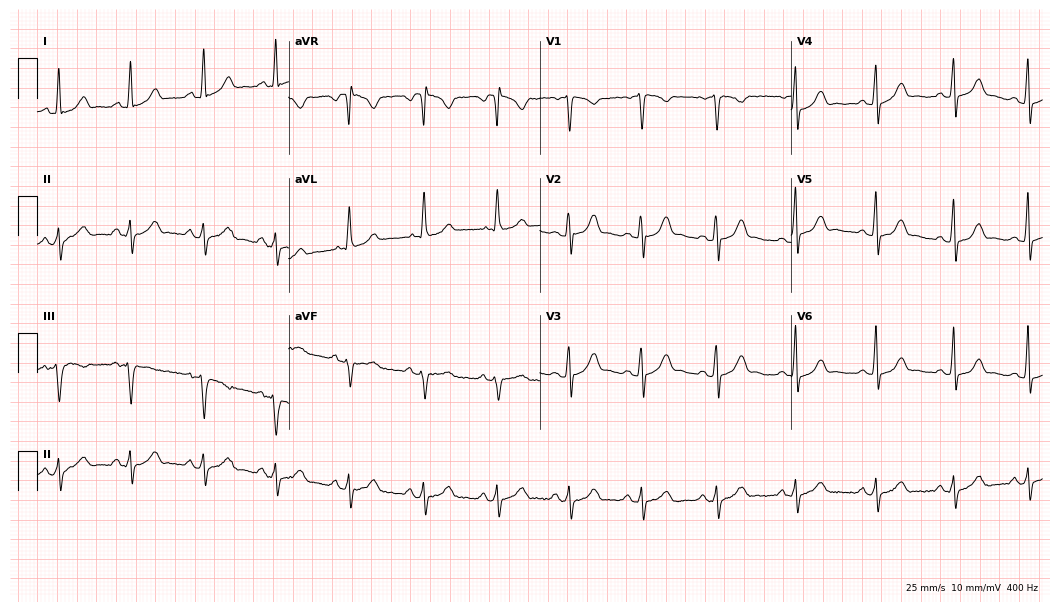
Resting 12-lead electrocardiogram (10.2-second recording at 400 Hz). Patient: a 45-year-old woman. None of these six findings is recorded: first-degree AV block, right bundle branch block, left bundle branch block, sinus bradycardia, atrial fibrillation, sinus tachycardia.